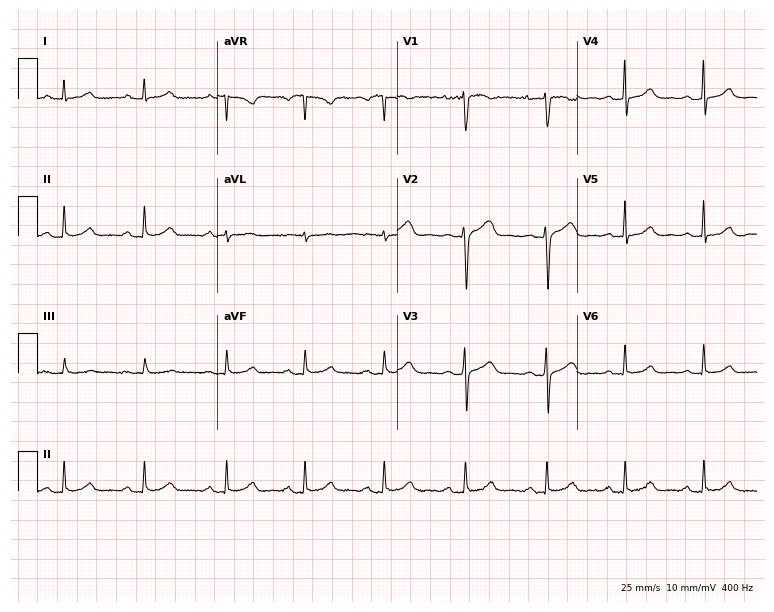
12-lead ECG from a 36-year-old female patient (7.3-second recording at 400 Hz). No first-degree AV block, right bundle branch block, left bundle branch block, sinus bradycardia, atrial fibrillation or sinus tachycardia recorded for this tracing.